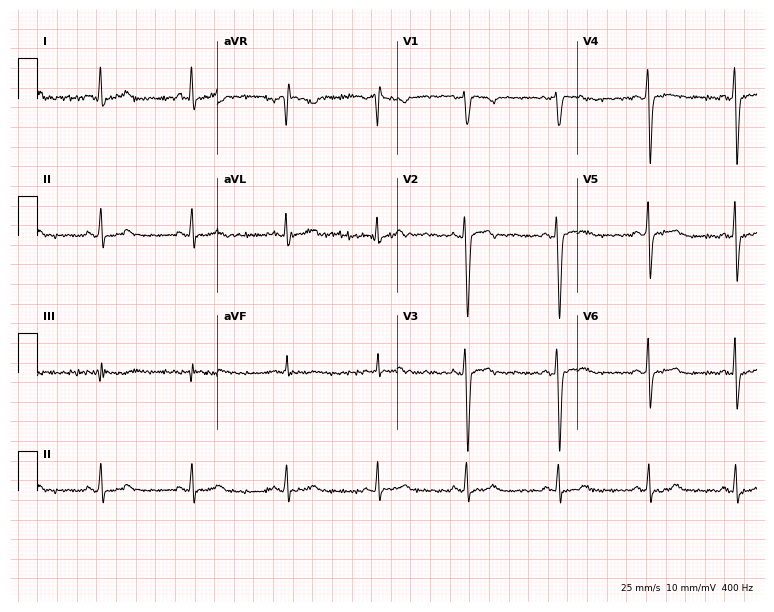
12-lead ECG (7.3-second recording at 400 Hz) from a female patient, 20 years old. Labelled as a normal ECG.